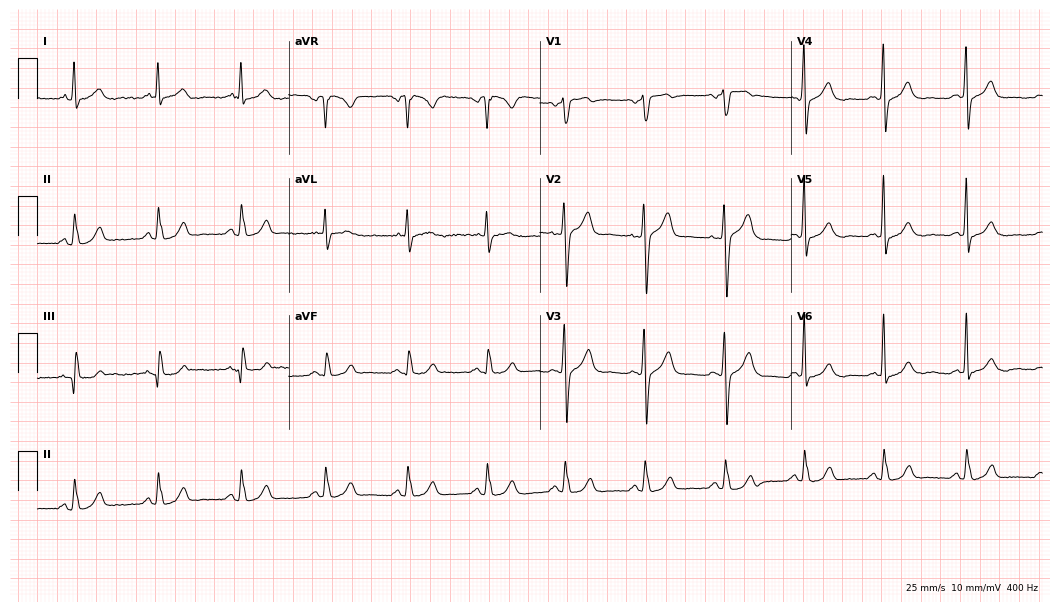
Standard 12-lead ECG recorded from a 38-year-old male (10.2-second recording at 400 Hz). Read as a normal ECG.